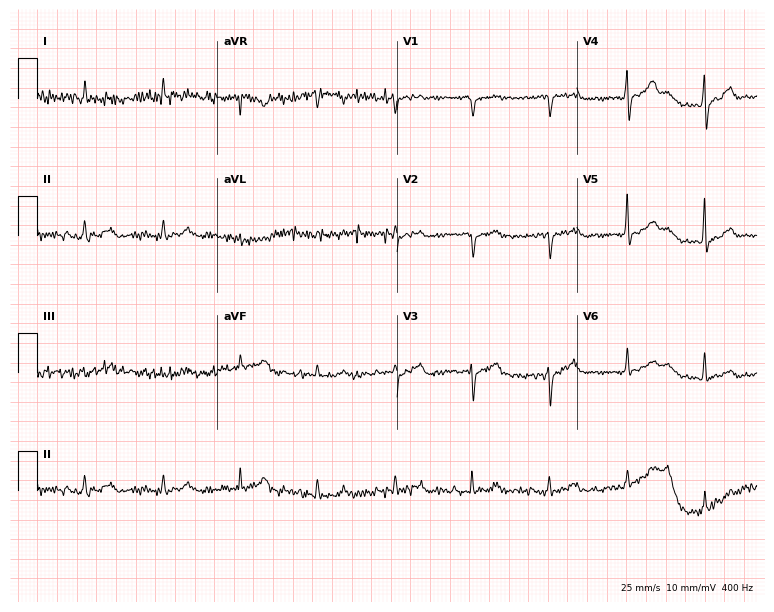
12-lead ECG from a man, 80 years old (7.3-second recording at 400 Hz). No first-degree AV block, right bundle branch block (RBBB), left bundle branch block (LBBB), sinus bradycardia, atrial fibrillation (AF) or sinus tachycardia recorded for this tracing.